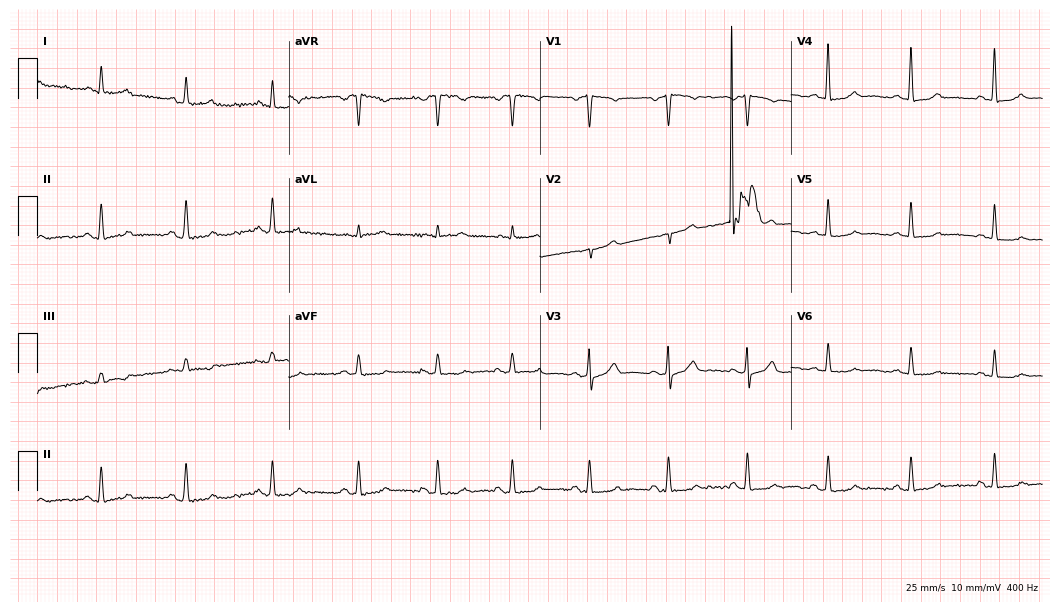
ECG (10.2-second recording at 400 Hz) — a female patient, 50 years old. Labelled as a normal ECG.